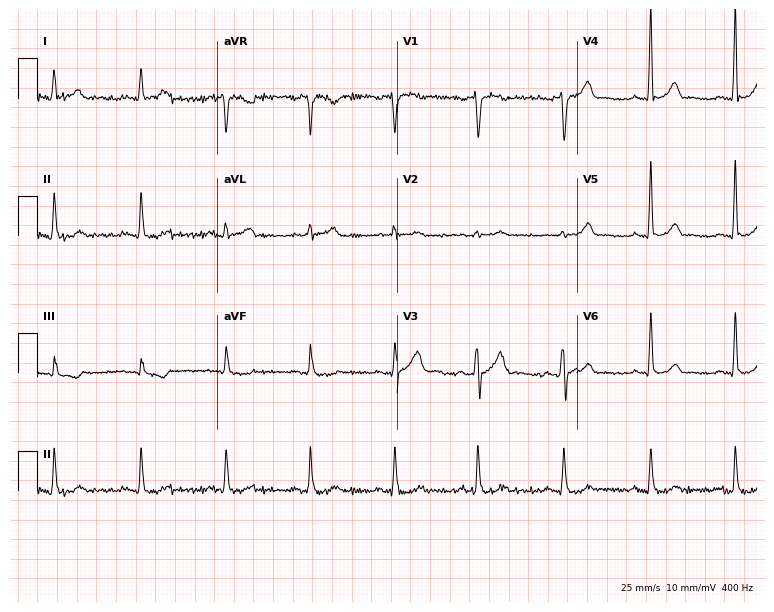
Resting 12-lead electrocardiogram. Patient: a male, 43 years old. Read as a normal ECG.